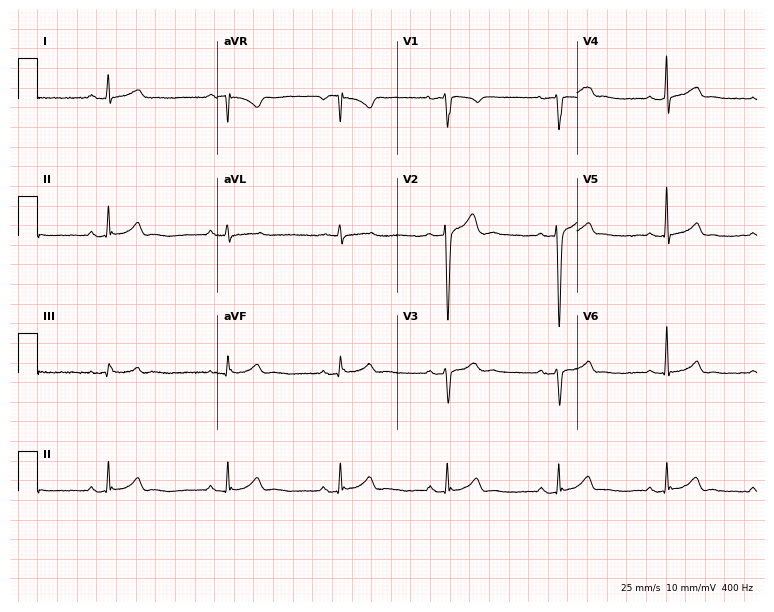
Standard 12-lead ECG recorded from a male, 21 years old. Read as a normal ECG.